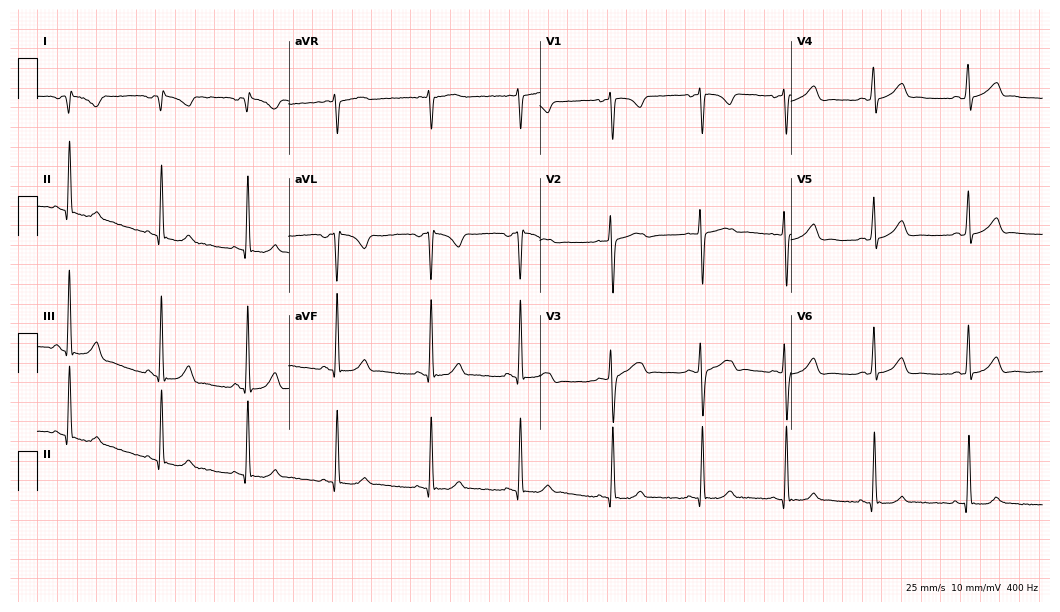
ECG (10.2-second recording at 400 Hz) — a 27-year-old female patient. Screened for six findings — first-degree AV block, right bundle branch block (RBBB), left bundle branch block (LBBB), sinus bradycardia, atrial fibrillation (AF), sinus tachycardia — none is recorded.